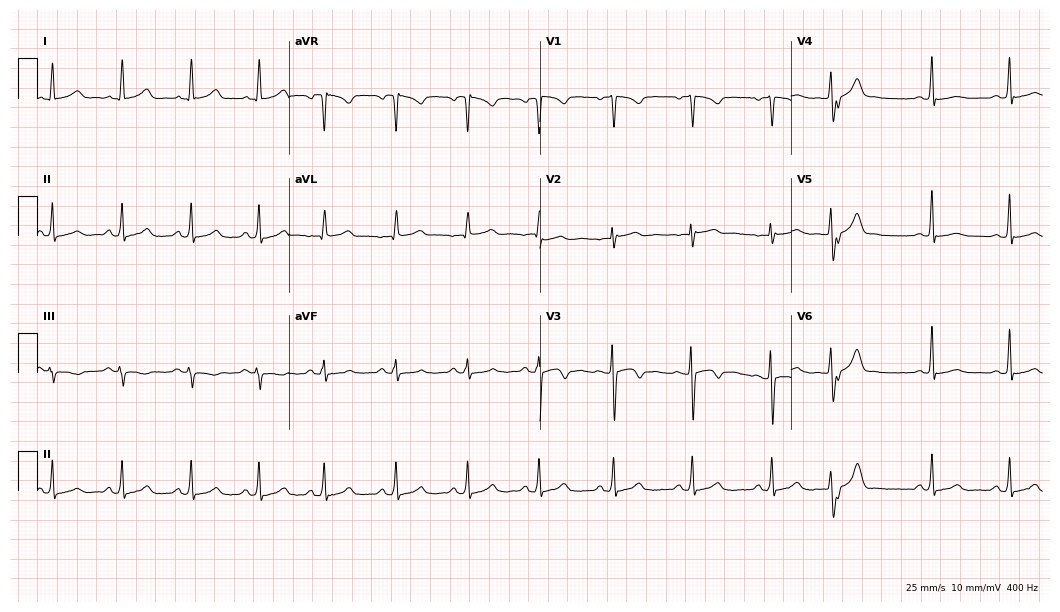
ECG — a female patient, 25 years old. Labelled as a normal ECG.